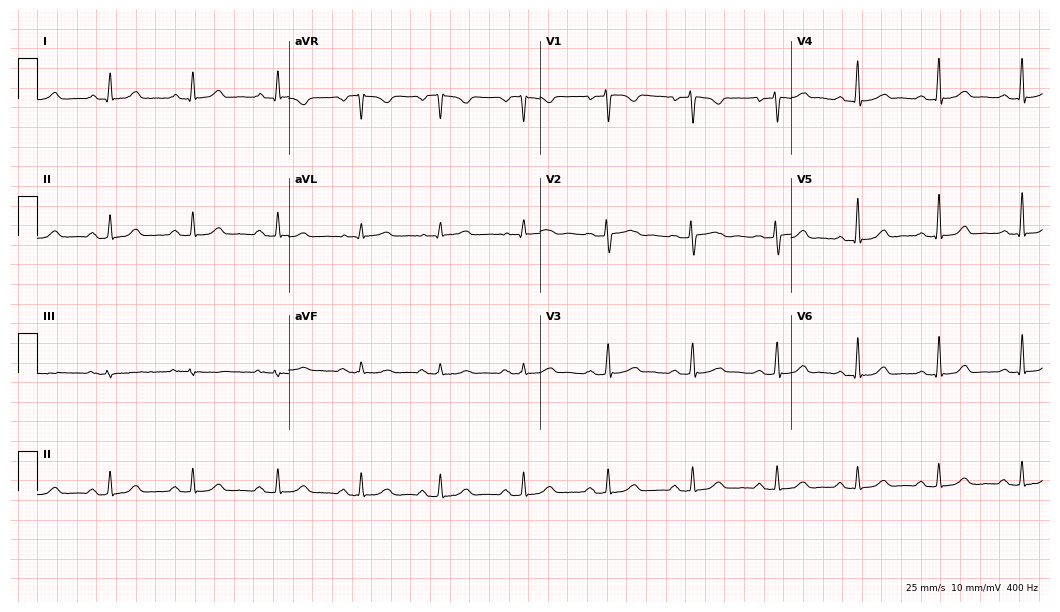
12-lead ECG (10.2-second recording at 400 Hz) from a woman, 32 years old. Labelled as a normal ECG.